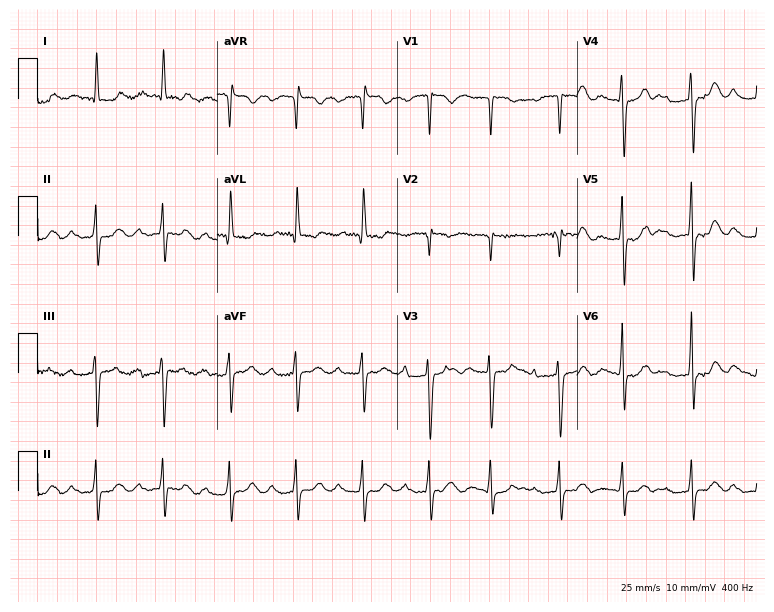
12-lead ECG from a woman, 83 years old. Findings include first-degree AV block.